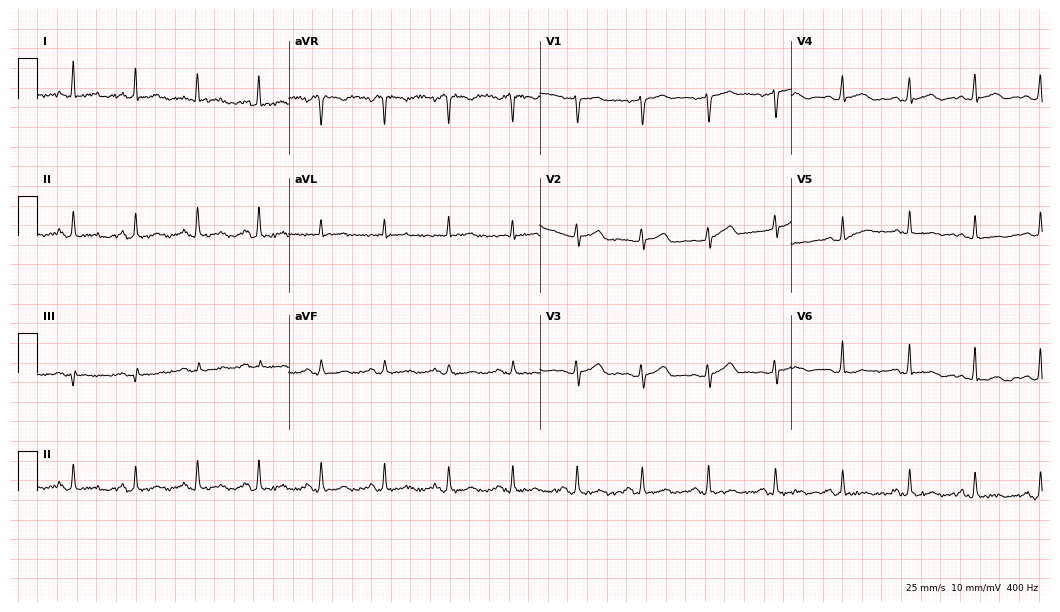
Resting 12-lead electrocardiogram (10.2-second recording at 400 Hz). Patient: a 49-year-old woman. Read as a normal ECG.